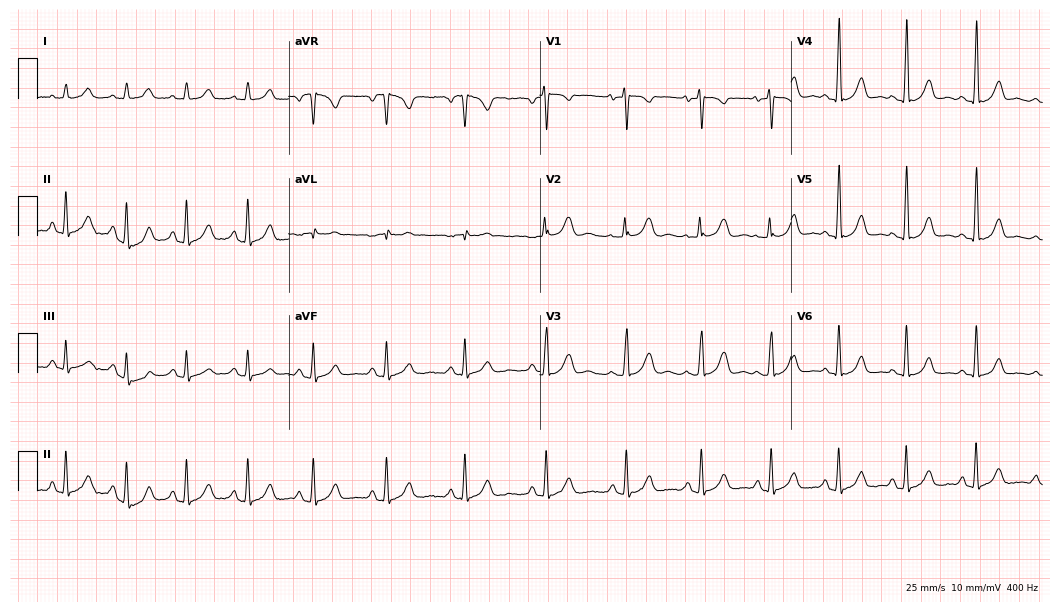
Electrocardiogram, a female, 29 years old. Of the six screened findings (first-degree AV block, right bundle branch block, left bundle branch block, sinus bradycardia, atrial fibrillation, sinus tachycardia), none is recorded.